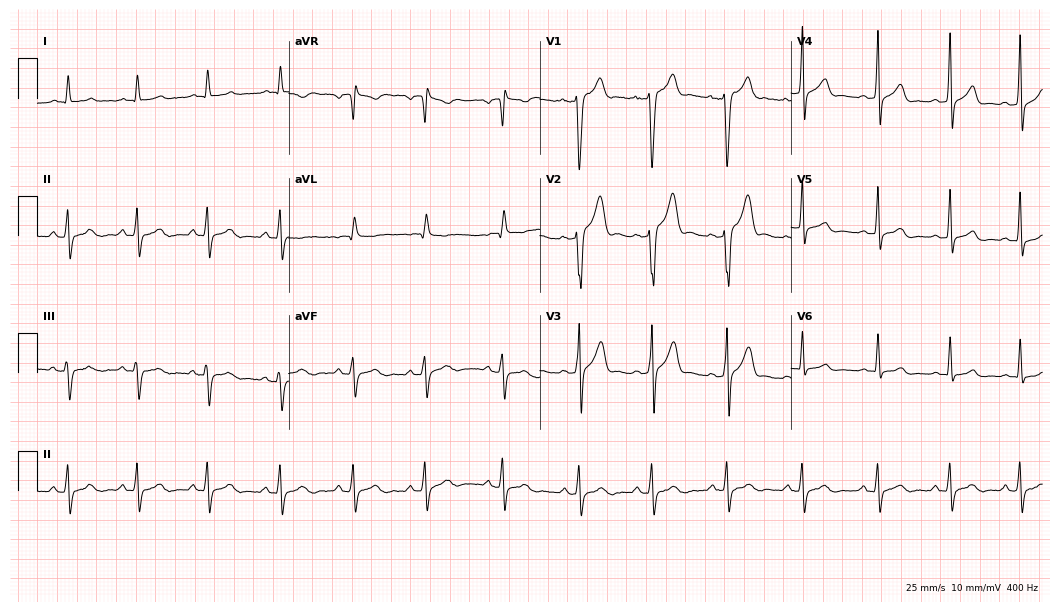
12-lead ECG from a 23-year-old male. Recorded interpretation: within normal limits.